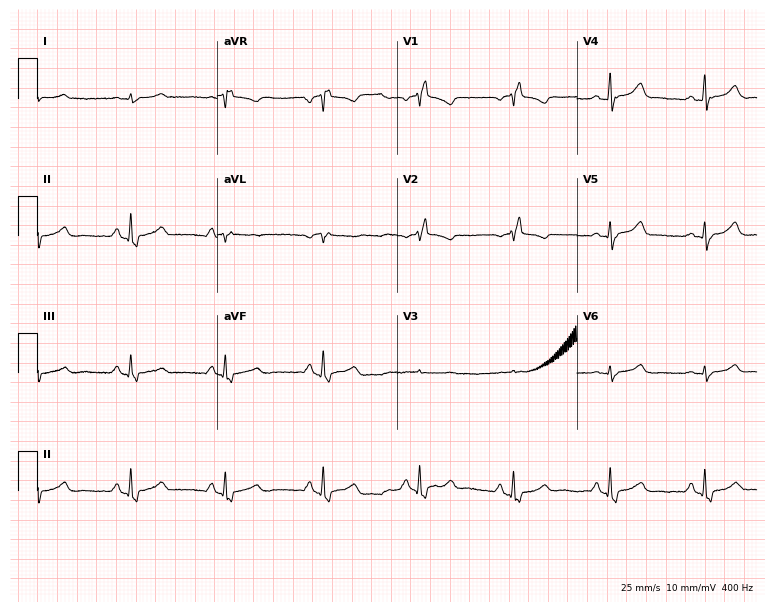
Standard 12-lead ECG recorded from a man, 64 years old (7.3-second recording at 400 Hz). None of these six findings is recorded: first-degree AV block, right bundle branch block, left bundle branch block, sinus bradycardia, atrial fibrillation, sinus tachycardia. Findings outside these six are not listed.